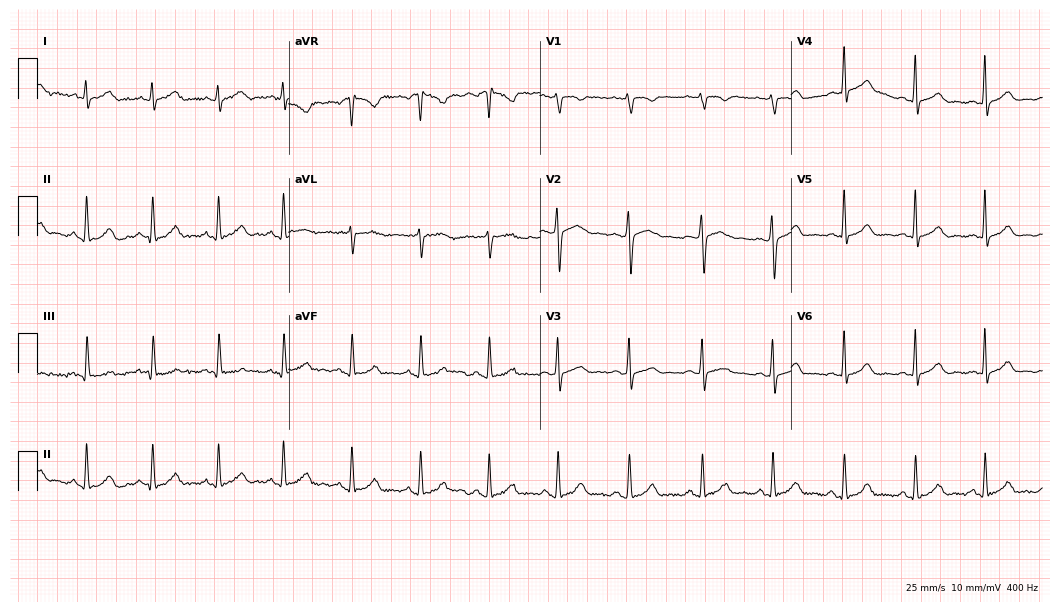
Electrocardiogram, a 22-year-old female patient. Overall reading on record: normal ECG.